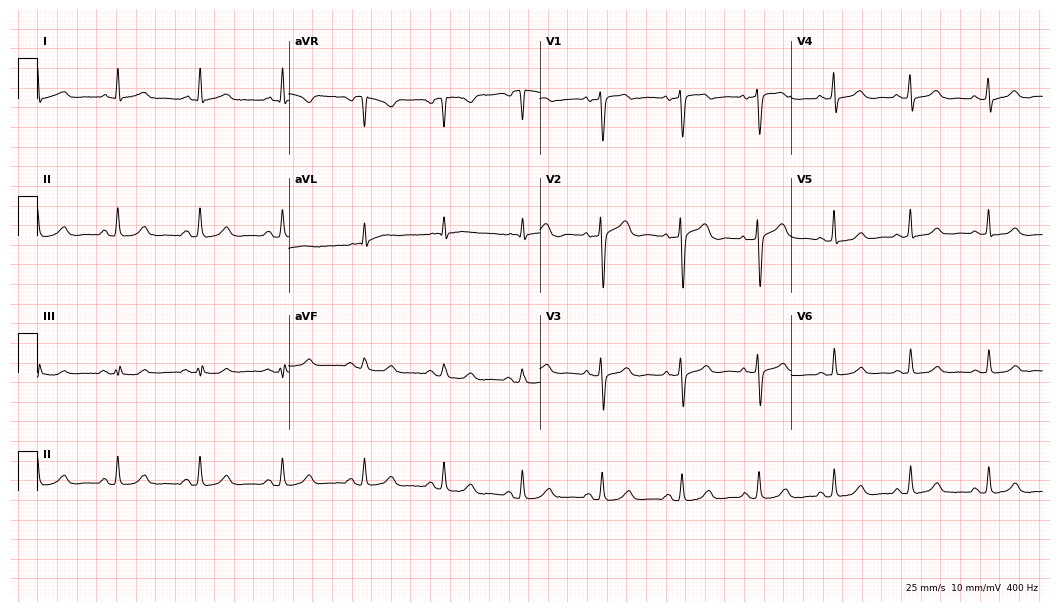
12-lead ECG (10.2-second recording at 400 Hz) from a 53-year-old woman. Labelled as a normal ECG.